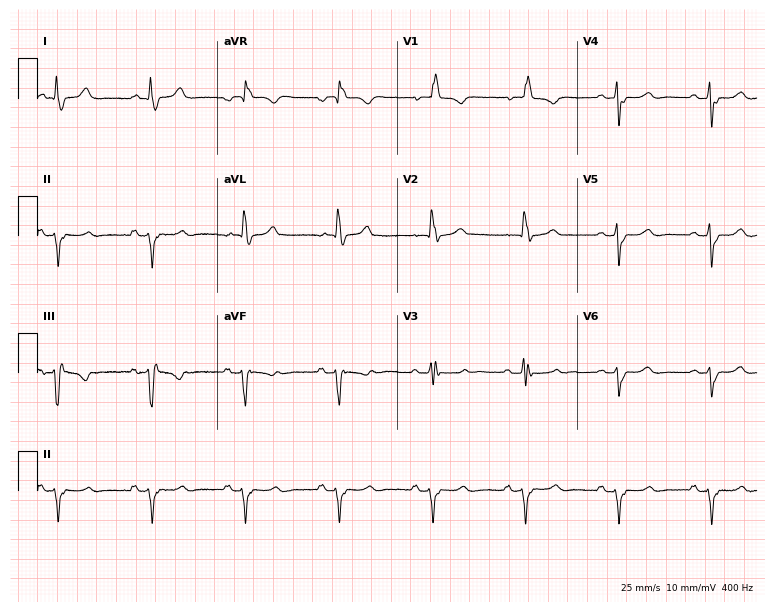
12-lead ECG from an 82-year-old female (7.3-second recording at 400 Hz). No first-degree AV block, right bundle branch block (RBBB), left bundle branch block (LBBB), sinus bradycardia, atrial fibrillation (AF) or sinus tachycardia recorded for this tracing.